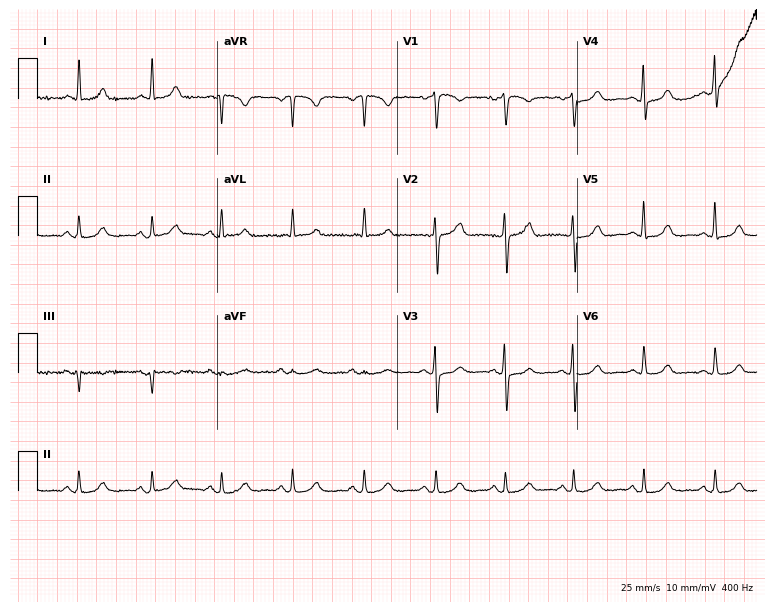
12-lead ECG from a female, 53 years old. No first-degree AV block, right bundle branch block (RBBB), left bundle branch block (LBBB), sinus bradycardia, atrial fibrillation (AF) or sinus tachycardia recorded for this tracing. Other findings, if any, are not listed.